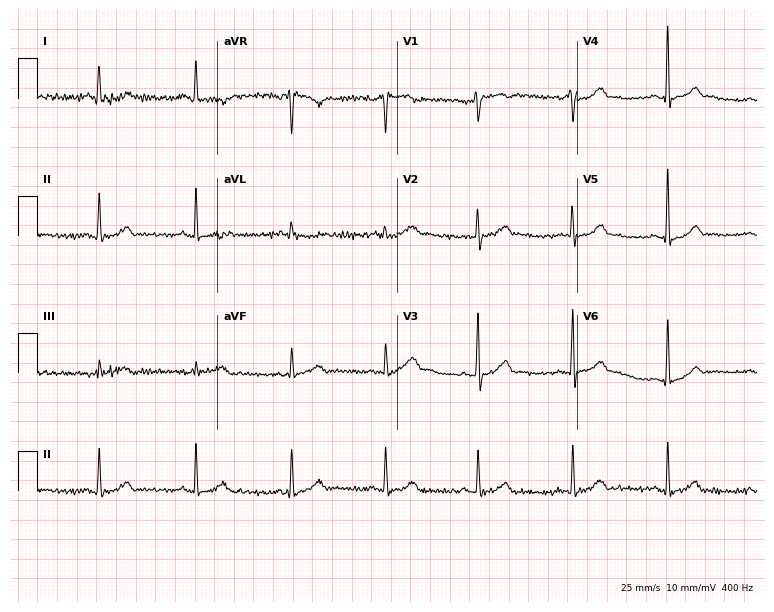
Resting 12-lead electrocardiogram (7.3-second recording at 400 Hz). Patient: a man, 62 years old. Read as a normal ECG.